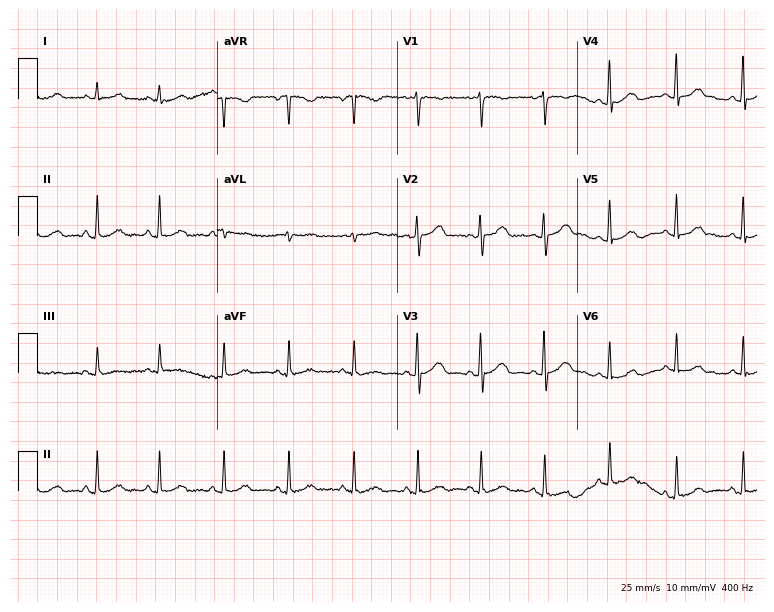
12-lead ECG from a 23-year-old female. No first-degree AV block, right bundle branch block, left bundle branch block, sinus bradycardia, atrial fibrillation or sinus tachycardia recorded for this tracing.